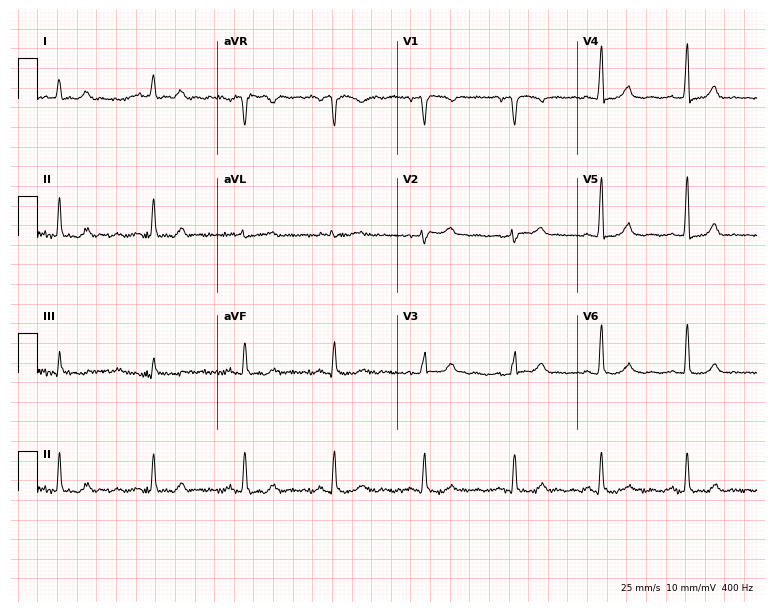
ECG — a female patient, 69 years old. Screened for six findings — first-degree AV block, right bundle branch block (RBBB), left bundle branch block (LBBB), sinus bradycardia, atrial fibrillation (AF), sinus tachycardia — none is recorded. Only these six findings were labelled.